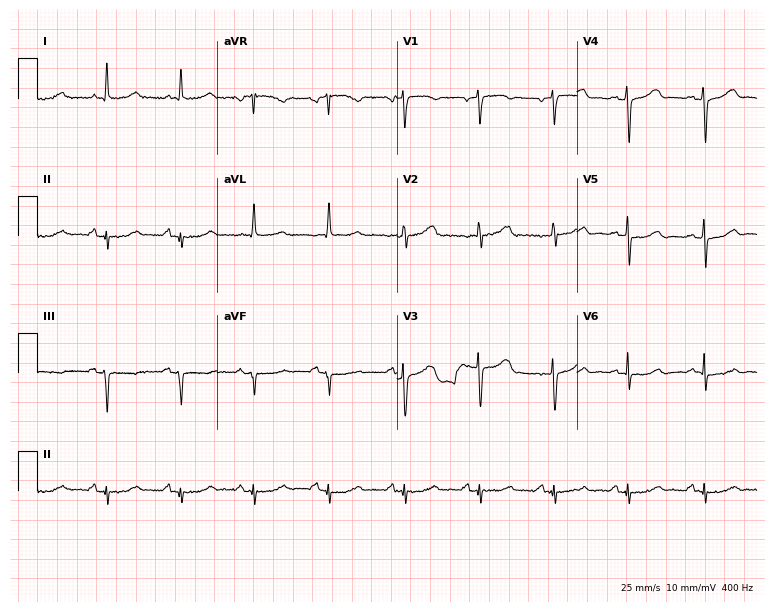
ECG — a 65-year-old woman. Screened for six findings — first-degree AV block, right bundle branch block, left bundle branch block, sinus bradycardia, atrial fibrillation, sinus tachycardia — none is recorded.